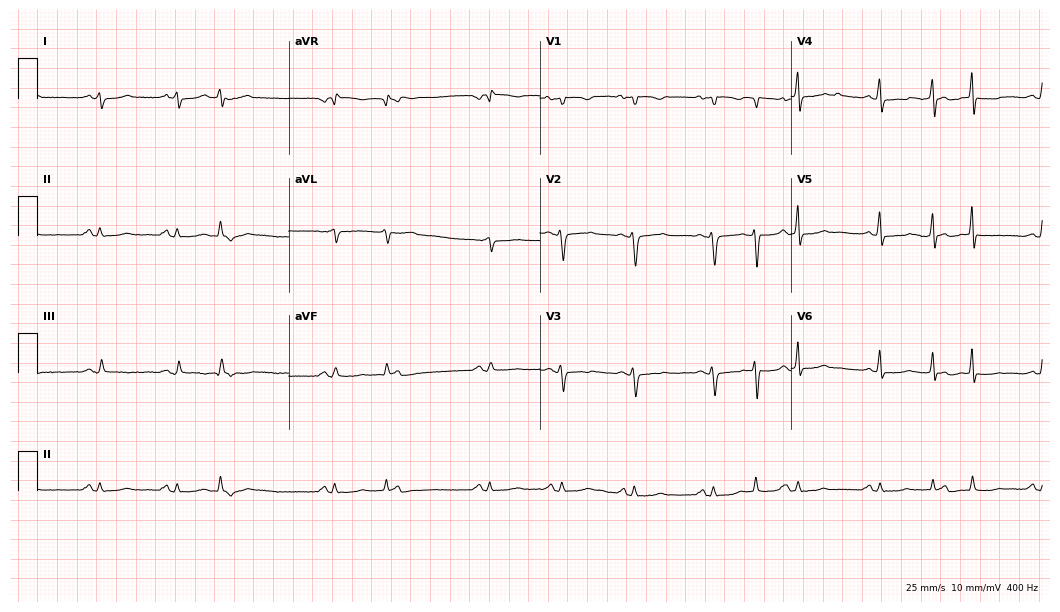
Electrocardiogram (10.2-second recording at 400 Hz), a 36-year-old woman. Of the six screened findings (first-degree AV block, right bundle branch block, left bundle branch block, sinus bradycardia, atrial fibrillation, sinus tachycardia), none is recorded.